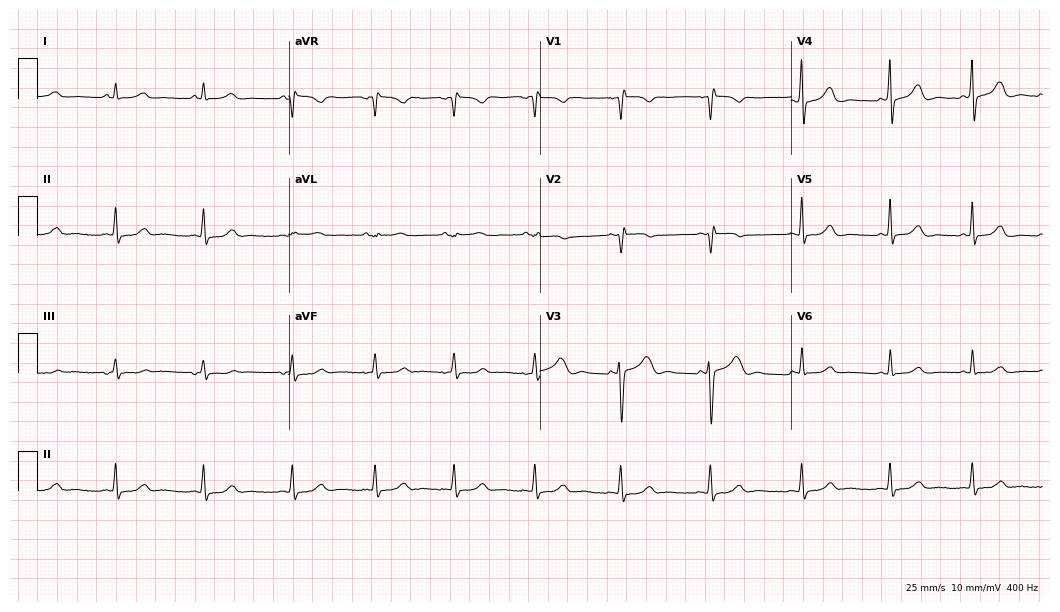
12-lead ECG from a 30-year-old woman. No first-degree AV block, right bundle branch block, left bundle branch block, sinus bradycardia, atrial fibrillation or sinus tachycardia recorded for this tracing. Other findings, if any, are not listed.